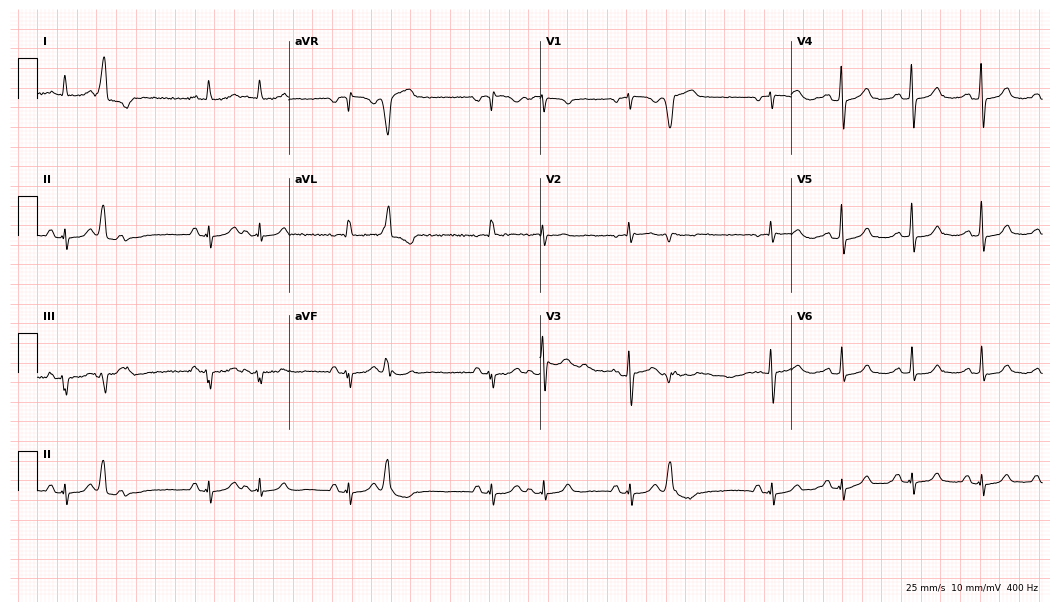
ECG (10.2-second recording at 400 Hz) — a woman, 82 years old. Screened for six findings — first-degree AV block, right bundle branch block, left bundle branch block, sinus bradycardia, atrial fibrillation, sinus tachycardia — none is recorded. Only these six findings were labelled.